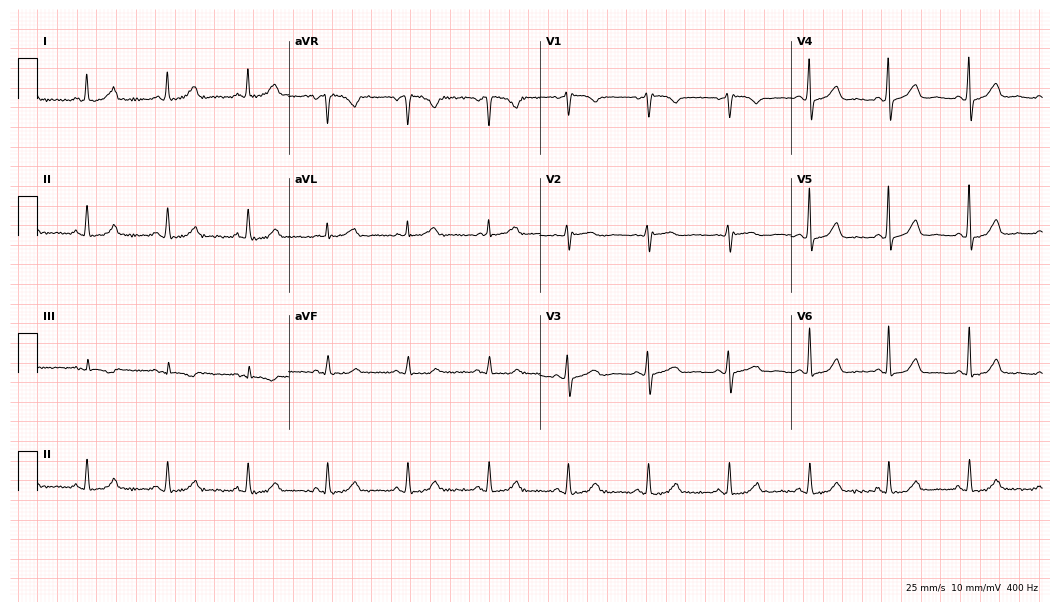
12-lead ECG from a woman, 63 years old (10.2-second recording at 400 Hz). Recorded interpretation: within normal limits.